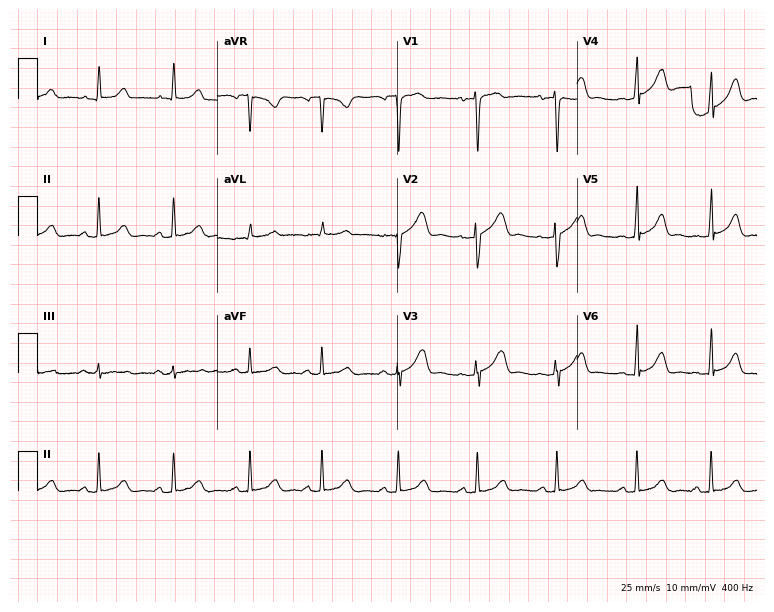
Standard 12-lead ECG recorded from a female patient, 32 years old. Read as a normal ECG.